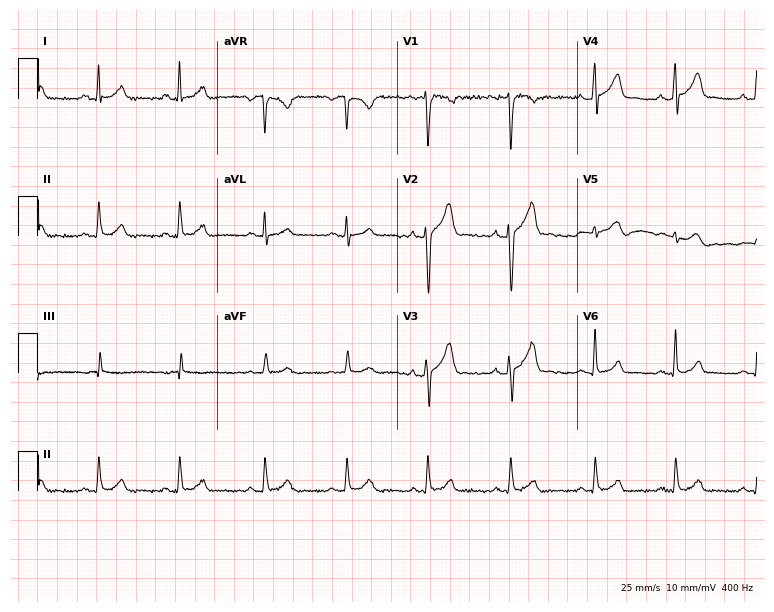
12-lead ECG from a man, 31 years old. Recorded interpretation: within normal limits.